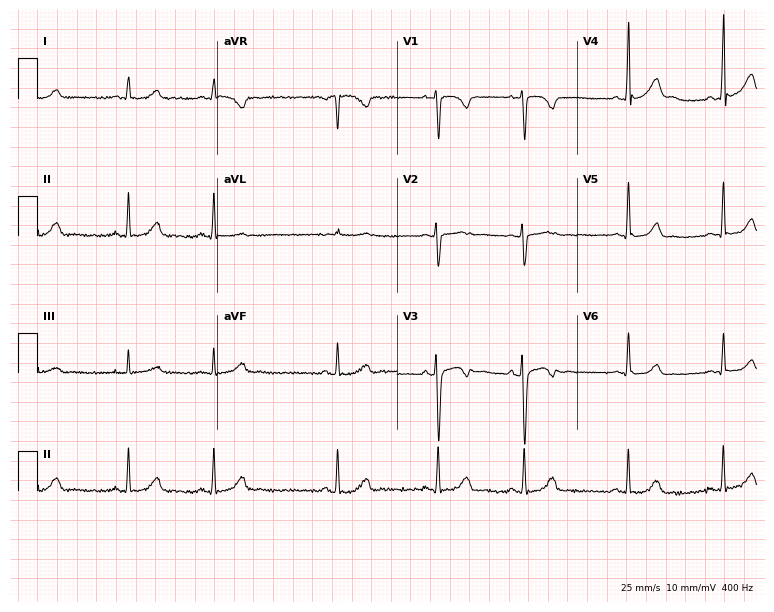
12-lead ECG from an 18-year-old female. Screened for six findings — first-degree AV block, right bundle branch block, left bundle branch block, sinus bradycardia, atrial fibrillation, sinus tachycardia — none is recorded.